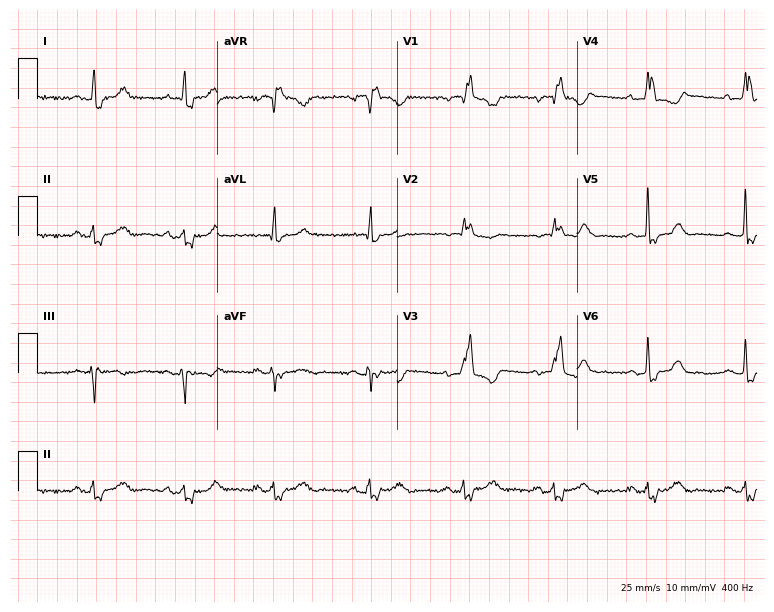
Resting 12-lead electrocardiogram (7.3-second recording at 400 Hz). Patient: a woman, 76 years old. The tracing shows right bundle branch block.